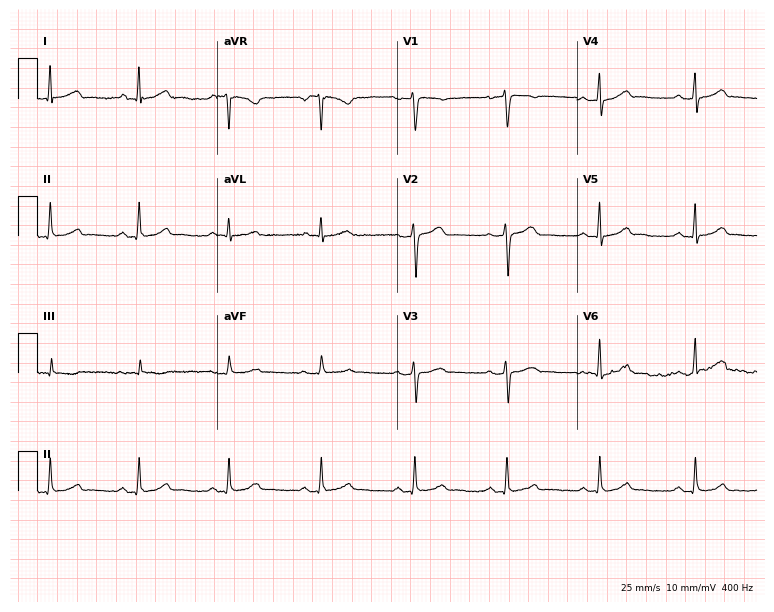
ECG — a female, 52 years old. Labelled as a normal ECG.